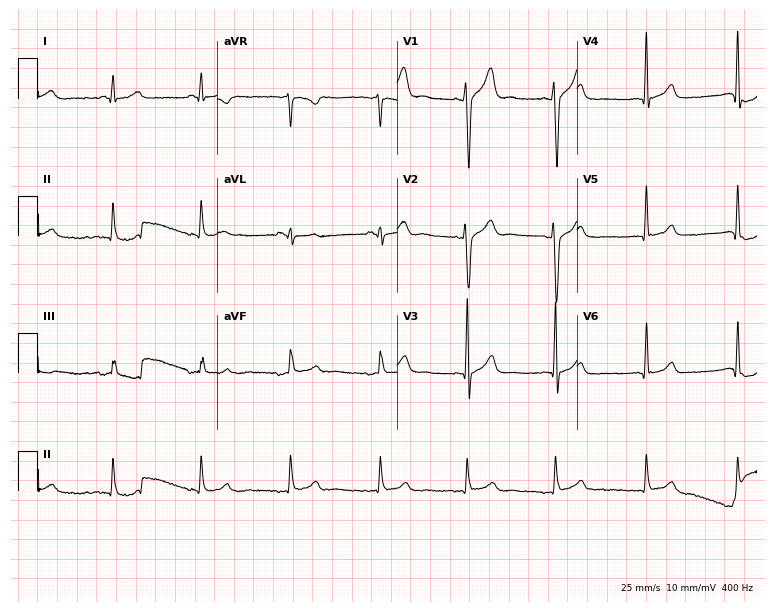
Resting 12-lead electrocardiogram (7.3-second recording at 400 Hz). Patient: a 25-year-old man. None of these six findings is recorded: first-degree AV block, right bundle branch block (RBBB), left bundle branch block (LBBB), sinus bradycardia, atrial fibrillation (AF), sinus tachycardia.